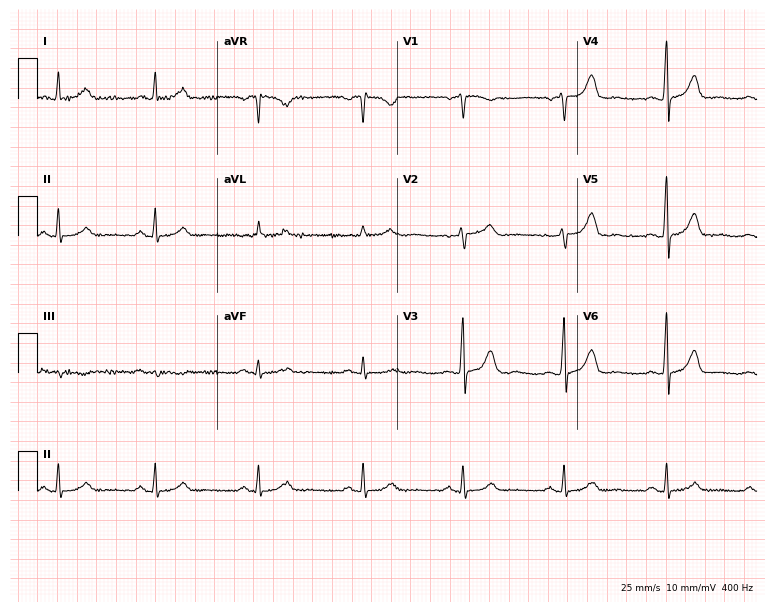
Resting 12-lead electrocardiogram (7.3-second recording at 400 Hz). Patient: a woman, 64 years old. None of these six findings is recorded: first-degree AV block, right bundle branch block, left bundle branch block, sinus bradycardia, atrial fibrillation, sinus tachycardia.